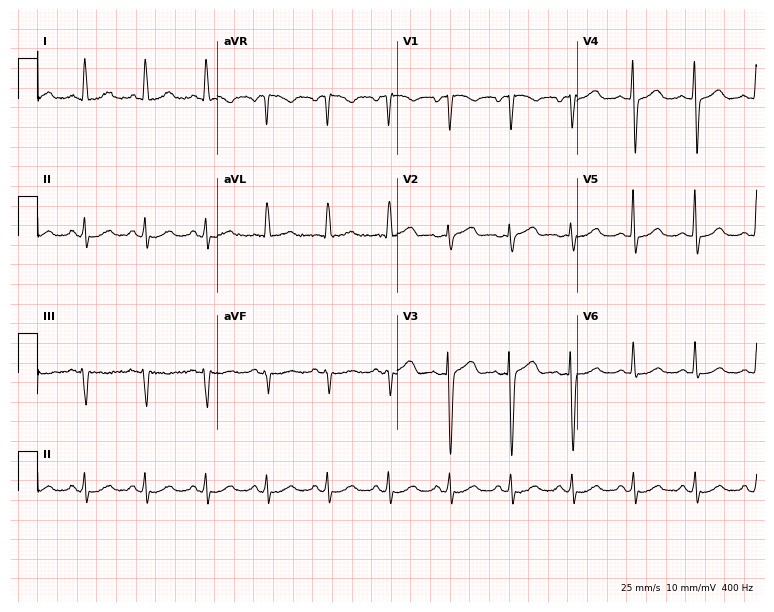
12-lead ECG from a female, 66 years old. Labelled as a normal ECG.